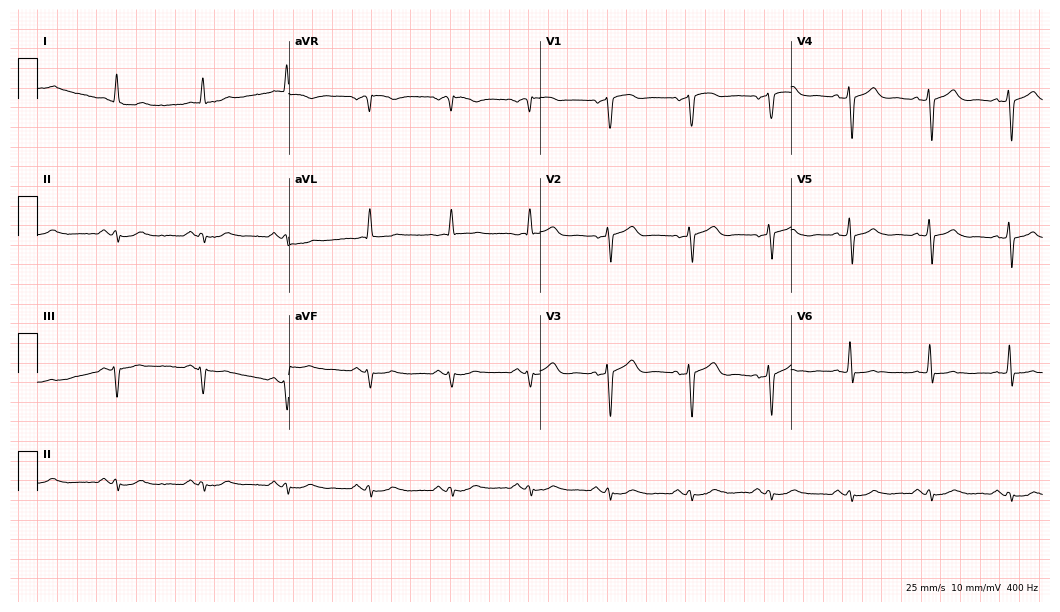
Resting 12-lead electrocardiogram. Patient: a male, 66 years old. Read as a normal ECG.